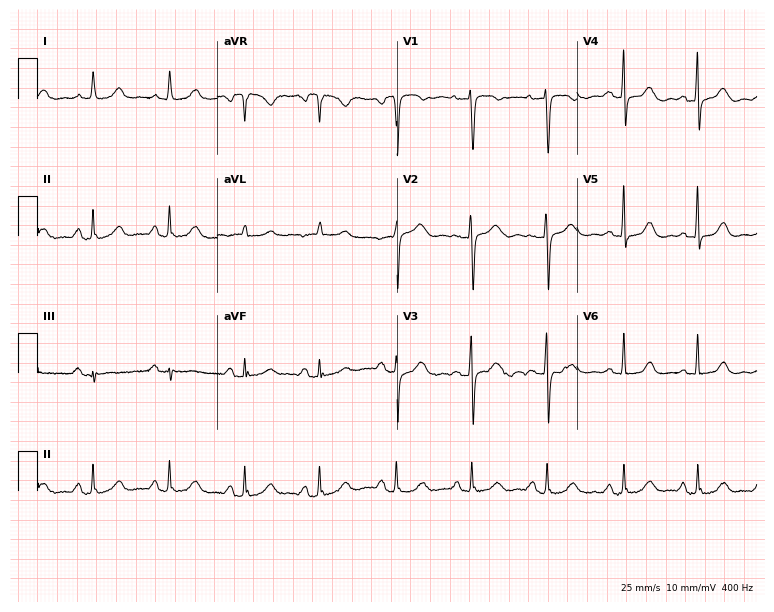
ECG (7.3-second recording at 400 Hz) — a 66-year-old woman. Labelled as a normal ECG.